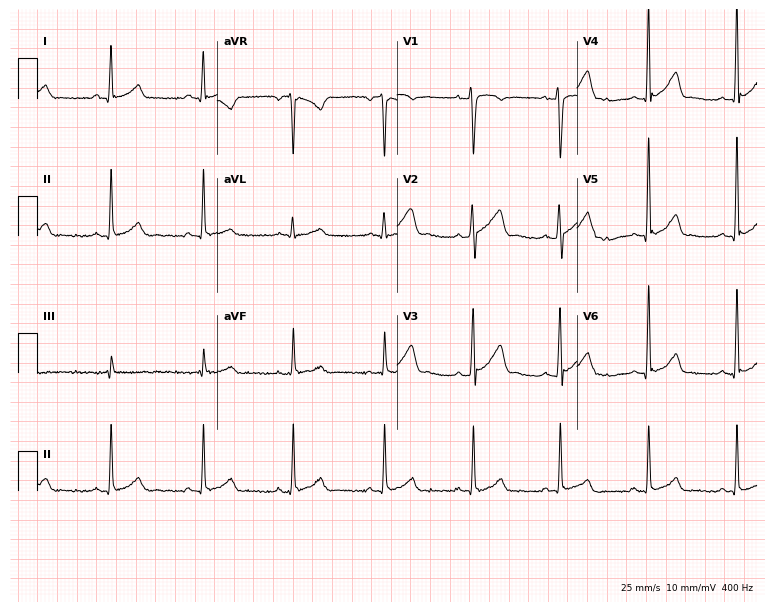
12-lead ECG (7.3-second recording at 400 Hz) from a 39-year-old male patient. Screened for six findings — first-degree AV block, right bundle branch block, left bundle branch block, sinus bradycardia, atrial fibrillation, sinus tachycardia — none is recorded.